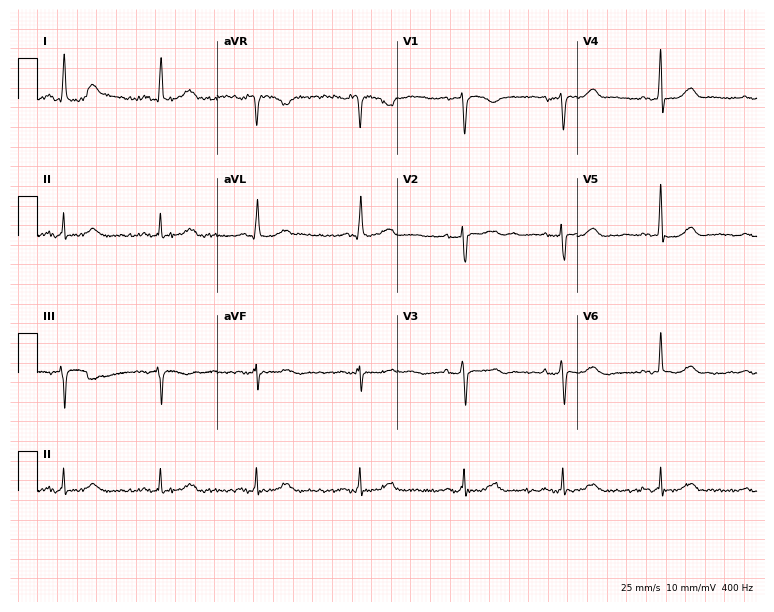
Standard 12-lead ECG recorded from a 58-year-old woman. Read as a normal ECG.